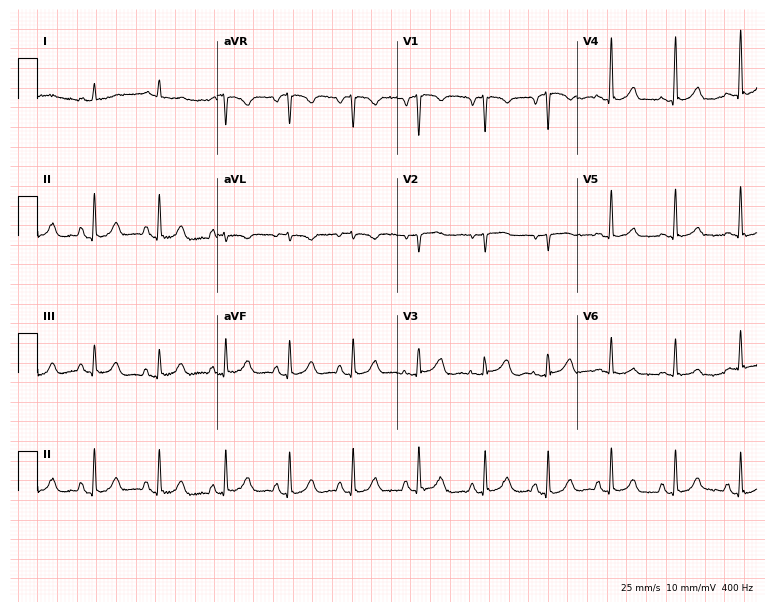
Standard 12-lead ECG recorded from a male patient, 62 years old. Read as a normal ECG.